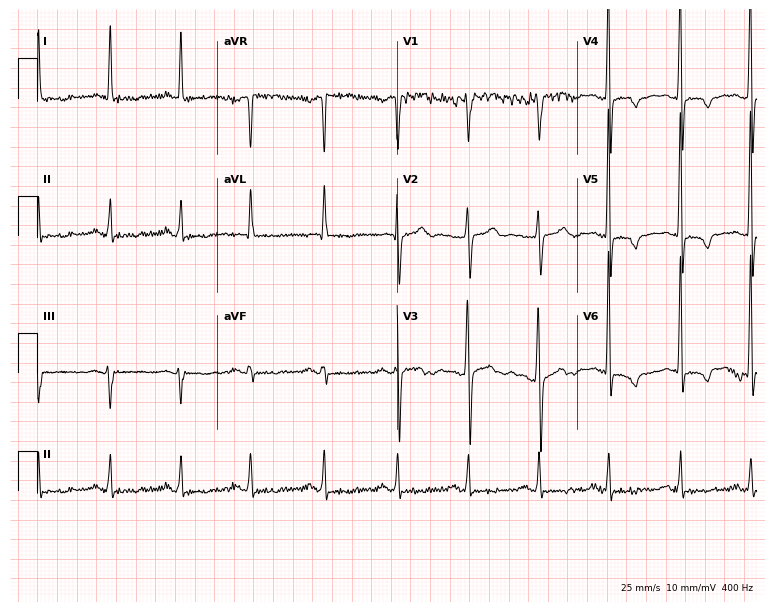
12-lead ECG from a 36-year-old male. No first-degree AV block, right bundle branch block, left bundle branch block, sinus bradycardia, atrial fibrillation or sinus tachycardia recorded for this tracing.